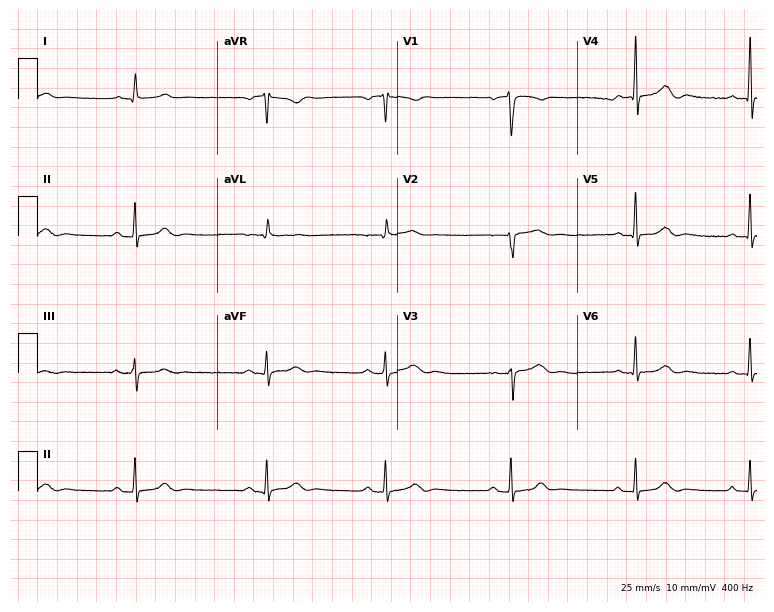
ECG — a 38-year-old male patient. Findings include sinus bradycardia (a sinus rate of 50 beats per minute or less).